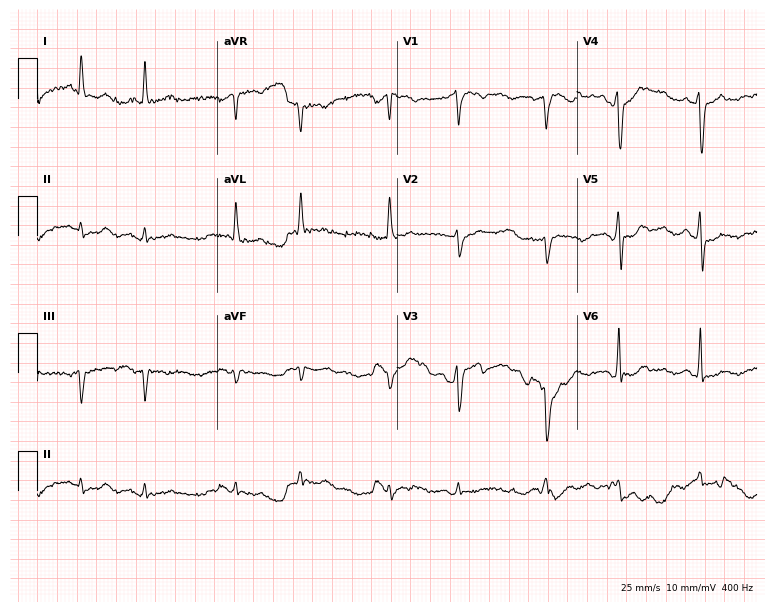
Electrocardiogram (7.3-second recording at 400 Hz), a man, 78 years old. Of the six screened findings (first-degree AV block, right bundle branch block, left bundle branch block, sinus bradycardia, atrial fibrillation, sinus tachycardia), none is recorded.